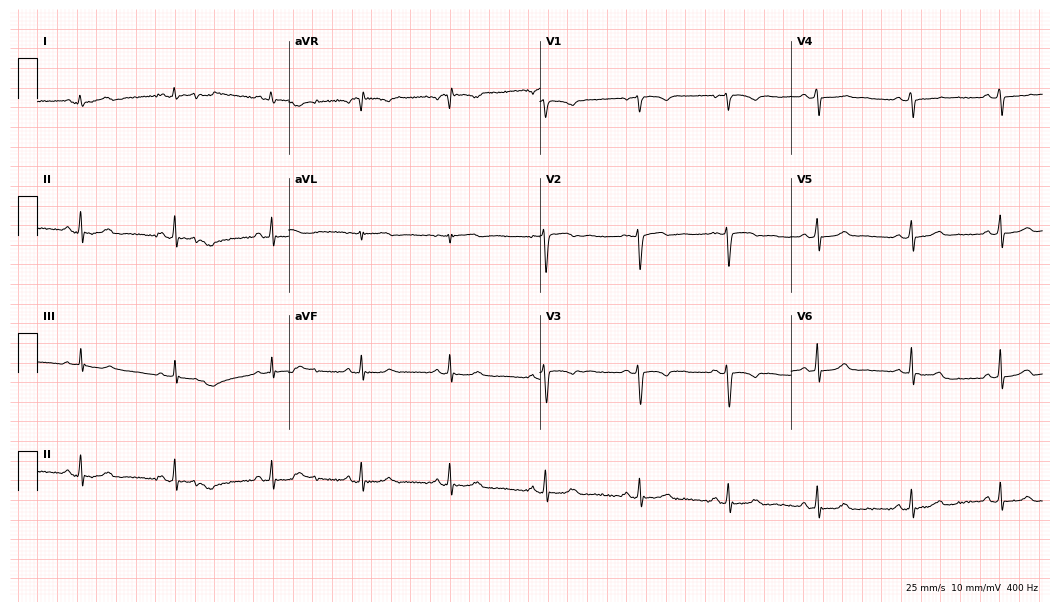
Resting 12-lead electrocardiogram (10.2-second recording at 400 Hz). Patient: a female, 28 years old. None of these six findings is recorded: first-degree AV block, right bundle branch block (RBBB), left bundle branch block (LBBB), sinus bradycardia, atrial fibrillation (AF), sinus tachycardia.